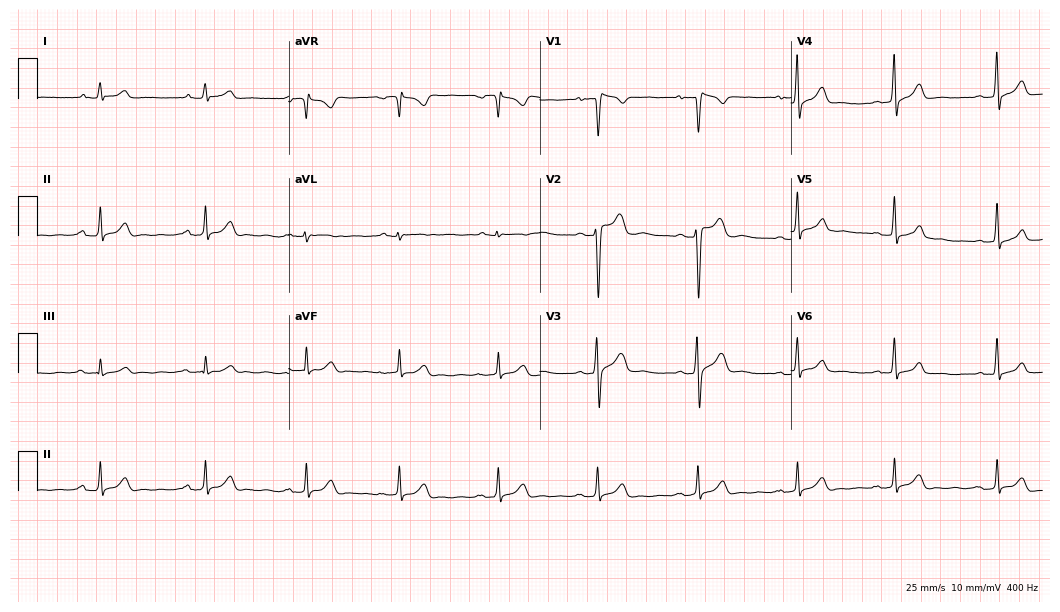
Standard 12-lead ECG recorded from a 30-year-old man. None of these six findings is recorded: first-degree AV block, right bundle branch block (RBBB), left bundle branch block (LBBB), sinus bradycardia, atrial fibrillation (AF), sinus tachycardia.